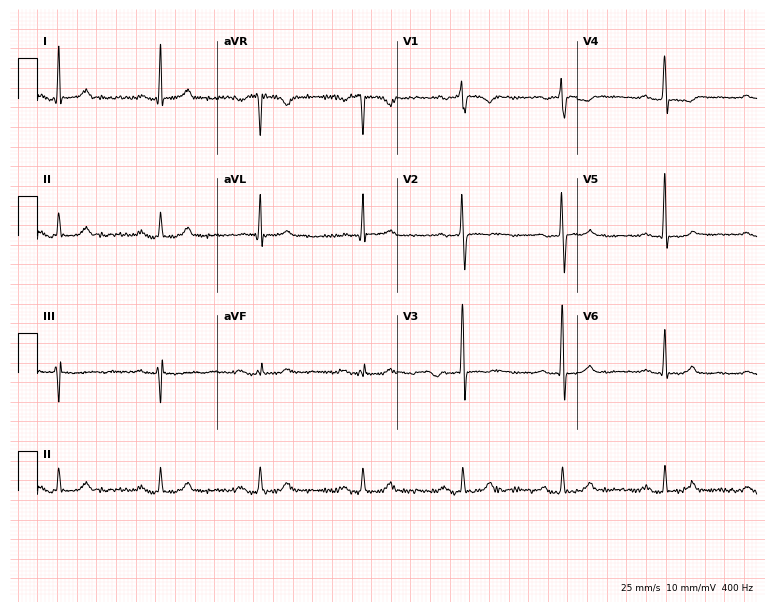
Electrocardiogram, a 56-year-old woman. Overall reading on record: normal ECG.